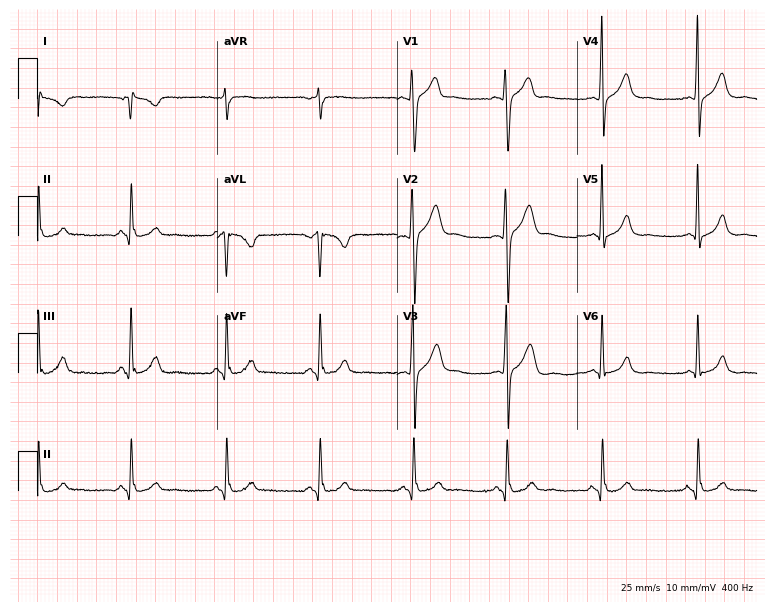
Electrocardiogram (7.3-second recording at 400 Hz), a 28-year-old male patient. Of the six screened findings (first-degree AV block, right bundle branch block (RBBB), left bundle branch block (LBBB), sinus bradycardia, atrial fibrillation (AF), sinus tachycardia), none is recorded.